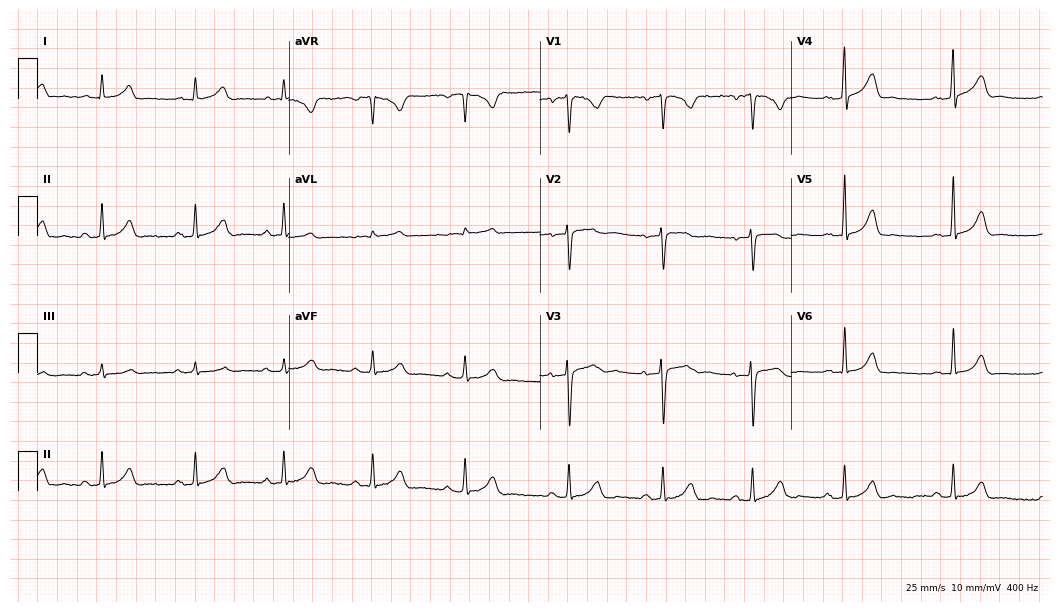
Resting 12-lead electrocardiogram. Patient: a 34-year-old female. Read as a normal ECG.